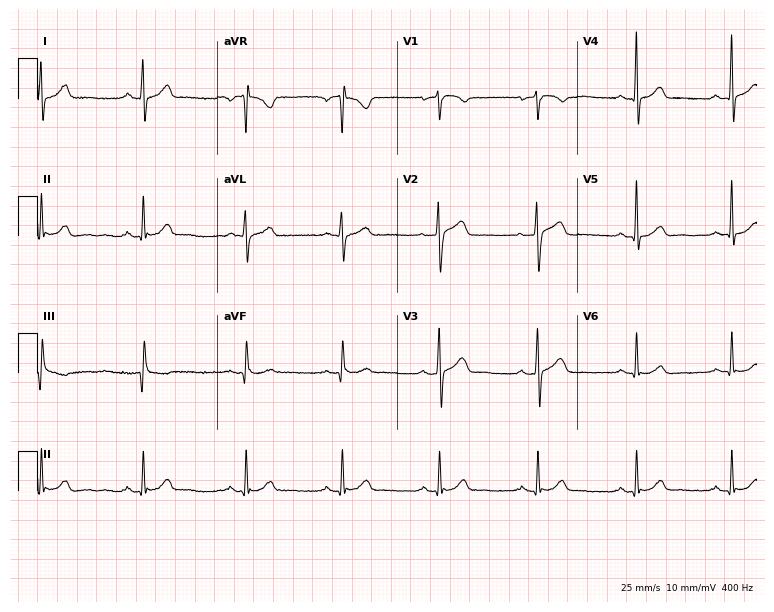
ECG (7.3-second recording at 400 Hz) — a man, 45 years old. Screened for six findings — first-degree AV block, right bundle branch block, left bundle branch block, sinus bradycardia, atrial fibrillation, sinus tachycardia — none is recorded. Other findings, if any, are not listed.